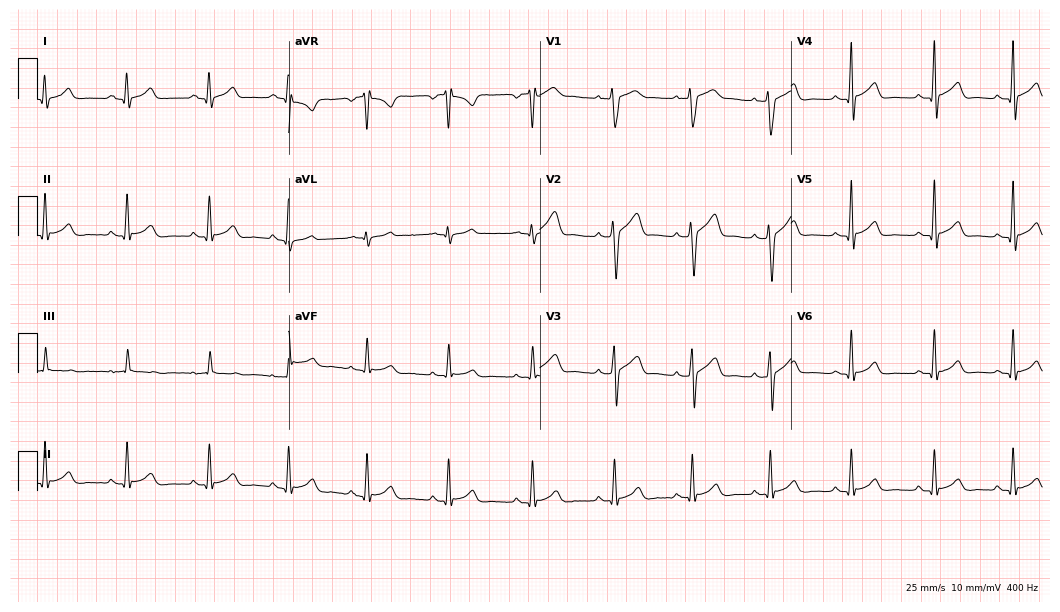
Electrocardiogram, an 18-year-old man. Overall reading on record: normal ECG.